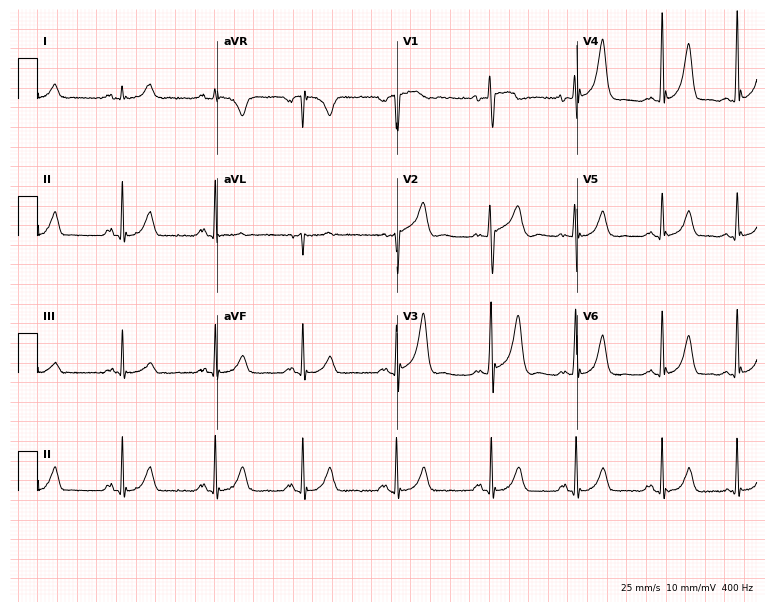
12-lead ECG from a male, 40 years old. No first-degree AV block, right bundle branch block, left bundle branch block, sinus bradycardia, atrial fibrillation or sinus tachycardia recorded for this tracing. Only these six findings were labelled.